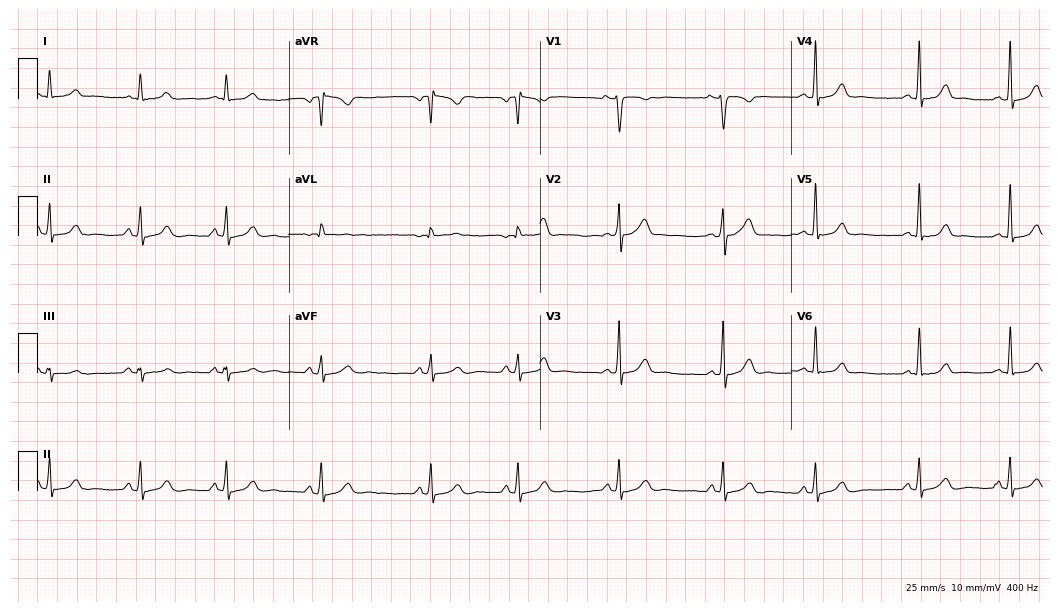
Resting 12-lead electrocardiogram. Patient: a female, 21 years old. None of these six findings is recorded: first-degree AV block, right bundle branch block (RBBB), left bundle branch block (LBBB), sinus bradycardia, atrial fibrillation (AF), sinus tachycardia. Findings outside these six are not listed.